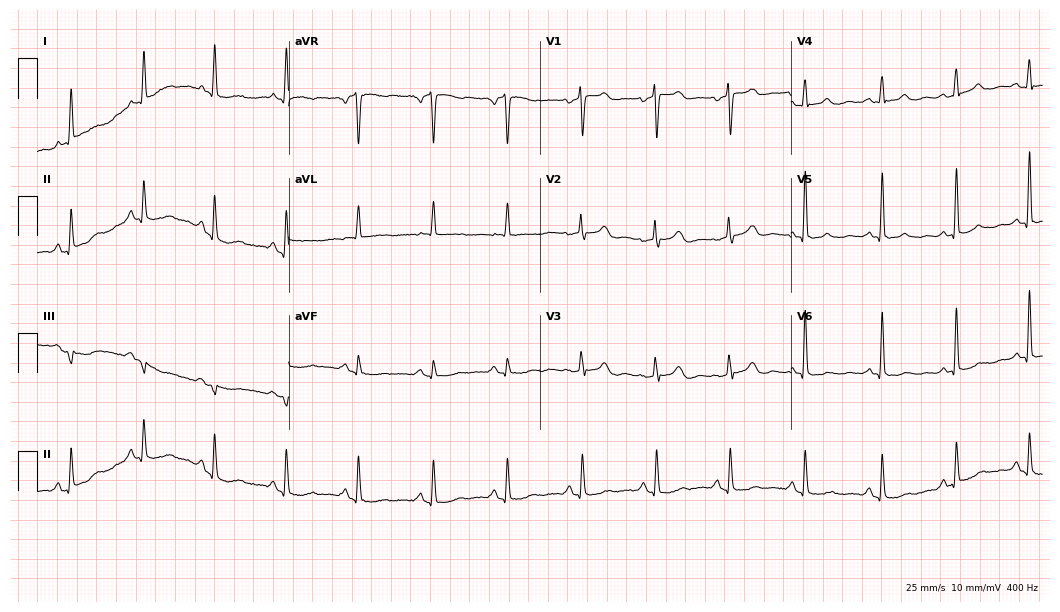
Resting 12-lead electrocardiogram. Patient: a female, 74 years old. Read as a normal ECG.